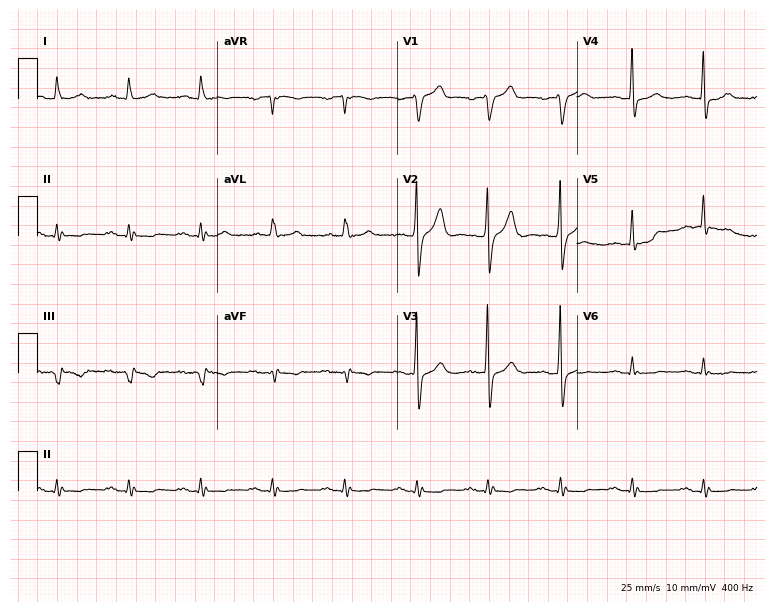
12-lead ECG from a male, 68 years old (7.3-second recording at 400 Hz). No first-degree AV block, right bundle branch block (RBBB), left bundle branch block (LBBB), sinus bradycardia, atrial fibrillation (AF) or sinus tachycardia recorded for this tracing. Only these six findings were labelled.